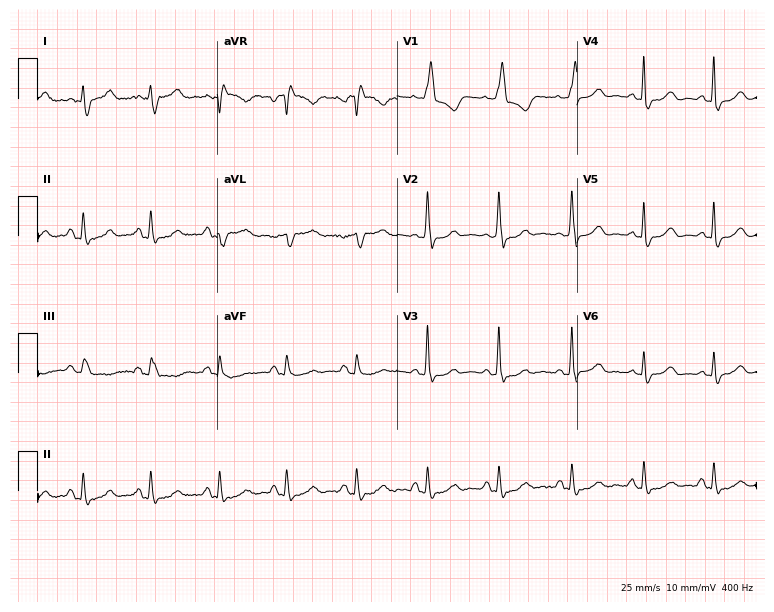
12-lead ECG (7.3-second recording at 400 Hz) from a 64-year-old woman. Findings include right bundle branch block (RBBB).